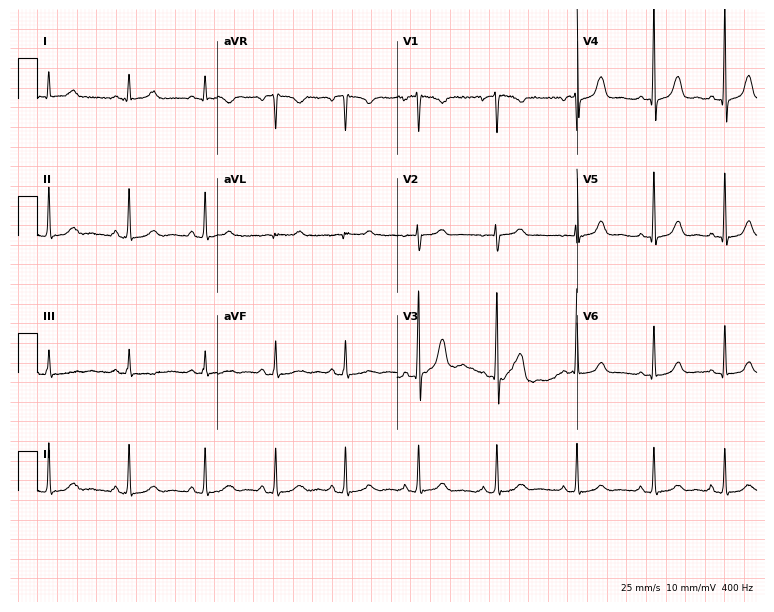
Resting 12-lead electrocardiogram (7.3-second recording at 400 Hz). Patient: a 35-year-old female. Read as a normal ECG.